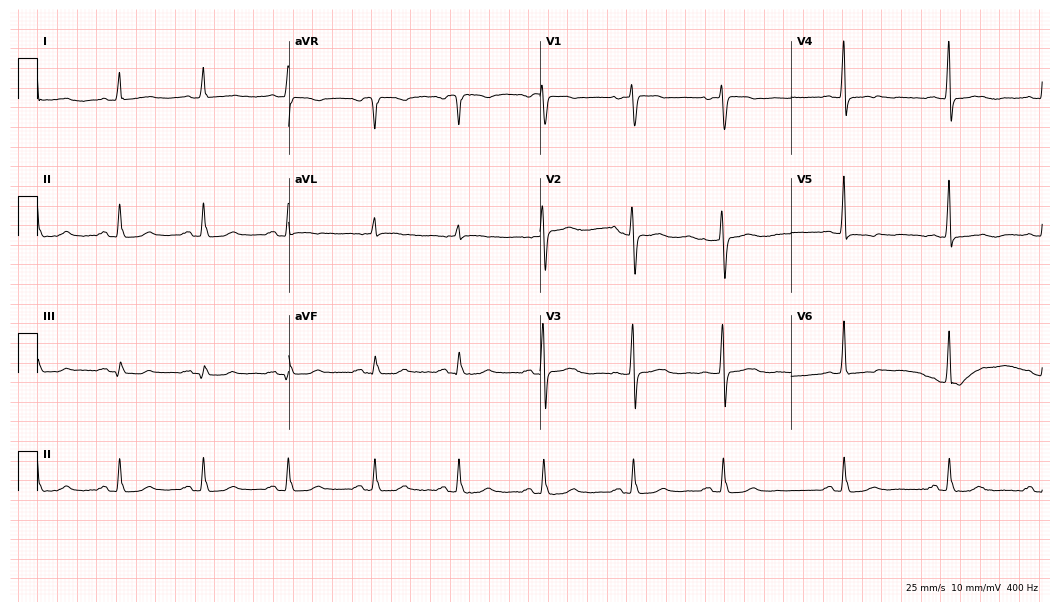
Standard 12-lead ECG recorded from a 76-year-old female (10.2-second recording at 400 Hz). None of these six findings is recorded: first-degree AV block, right bundle branch block (RBBB), left bundle branch block (LBBB), sinus bradycardia, atrial fibrillation (AF), sinus tachycardia. Other findings, if any, are not listed.